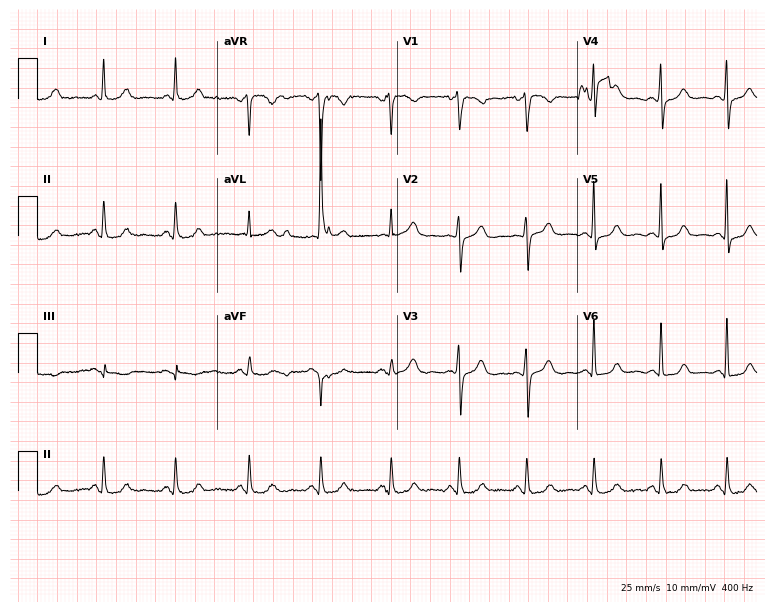
Resting 12-lead electrocardiogram. Patient: a 52-year-old woman. None of these six findings is recorded: first-degree AV block, right bundle branch block, left bundle branch block, sinus bradycardia, atrial fibrillation, sinus tachycardia.